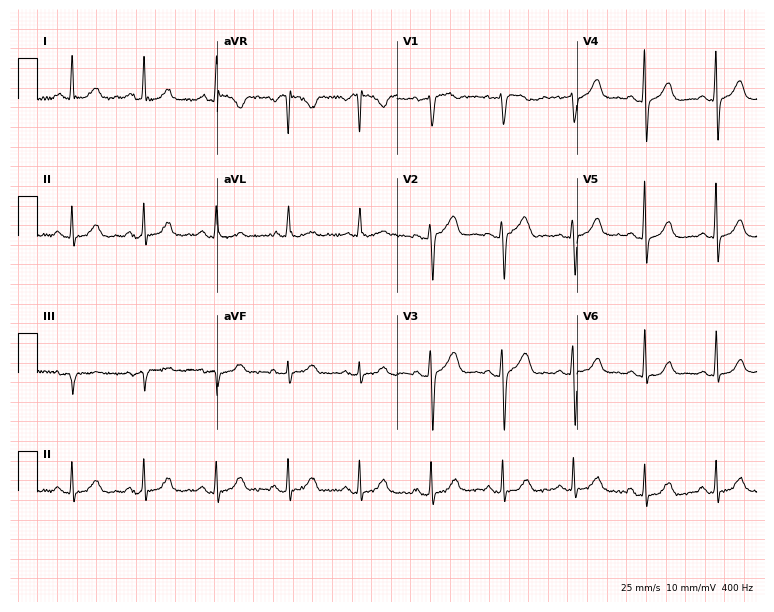
12-lead ECG from a female patient, 72 years old (7.3-second recording at 400 Hz). Recorded interpretation: within normal limits.